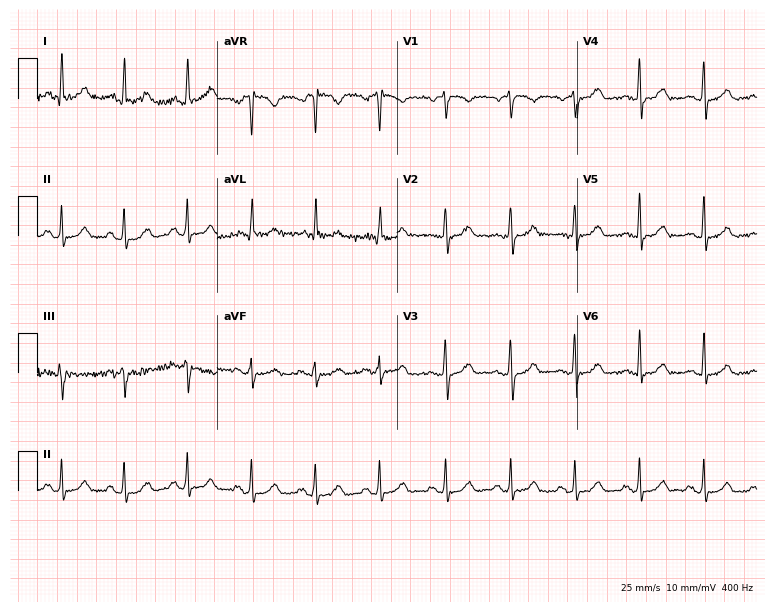
Standard 12-lead ECG recorded from a female, 44 years old (7.3-second recording at 400 Hz). Read as a normal ECG.